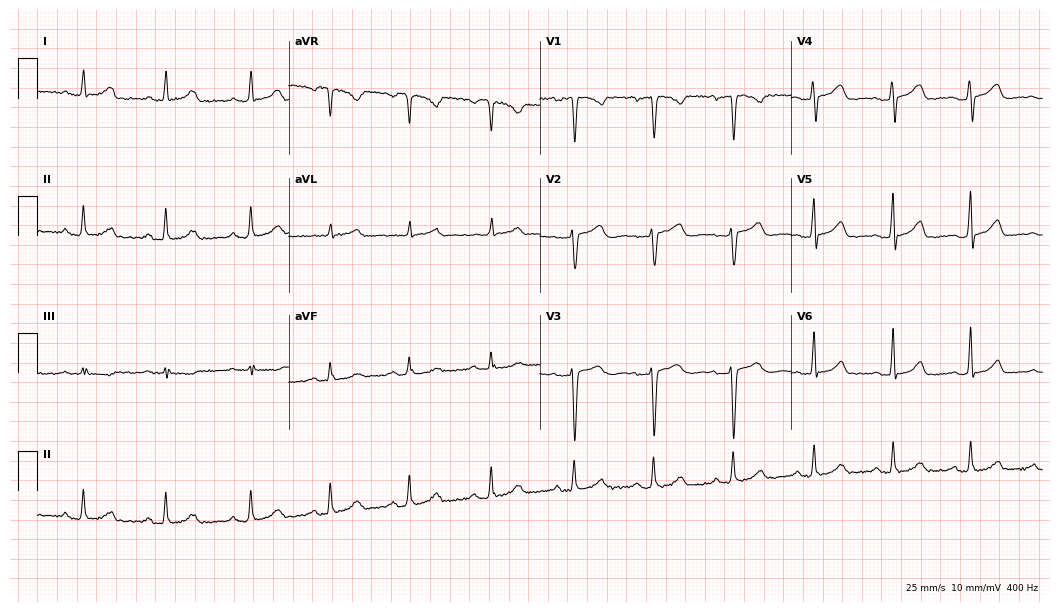
ECG (10.2-second recording at 400 Hz) — a female, 42 years old. Labelled as a normal ECG.